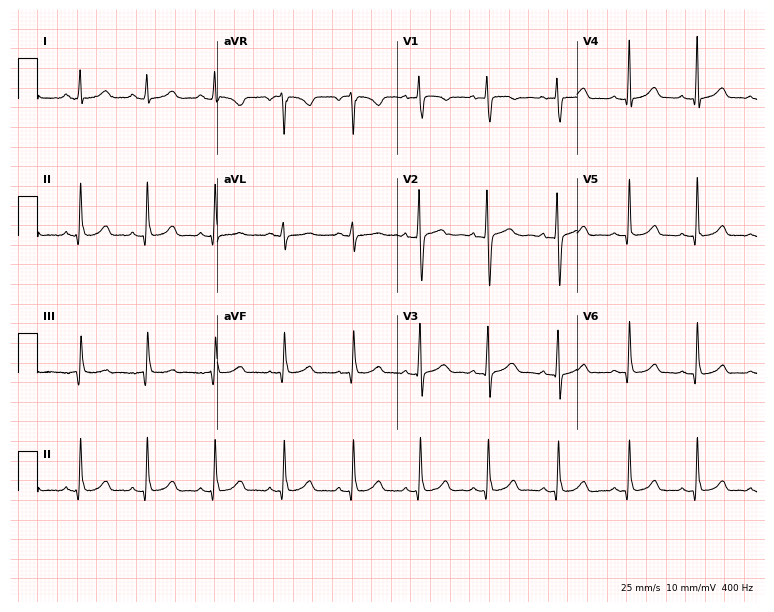
12-lead ECG (7.3-second recording at 400 Hz) from an 18-year-old female. Screened for six findings — first-degree AV block, right bundle branch block, left bundle branch block, sinus bradycardia, atrial fibrillation, sinus tachycardia — none is recorded. Findings outside these six are not listed.